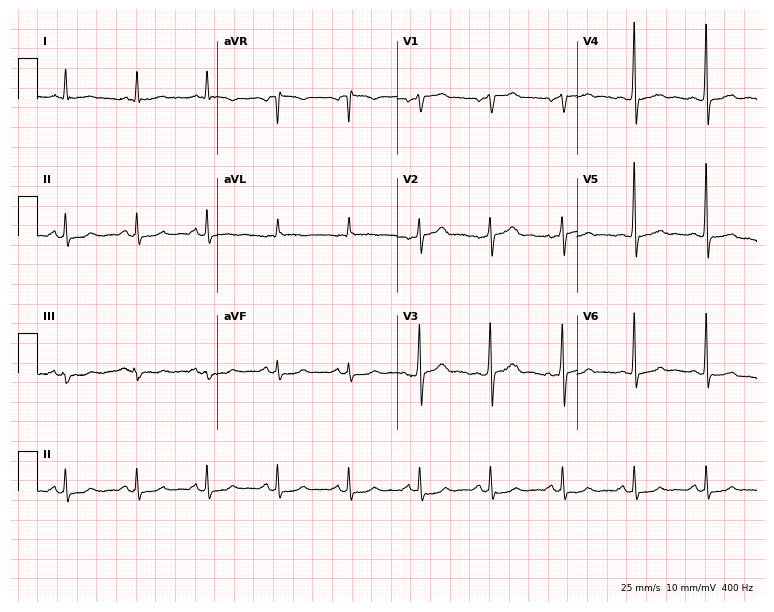
12-lead ECG (7.3-second recording at 400 Hz) from a male, 63 years old. Screened for six findings — first-degree AV block, right bundle branch block, left bundle branch block, sinus bradycardia, atrial fibrillation, sinus tachycardia — none is recorded. Findings outside these six are not listed.